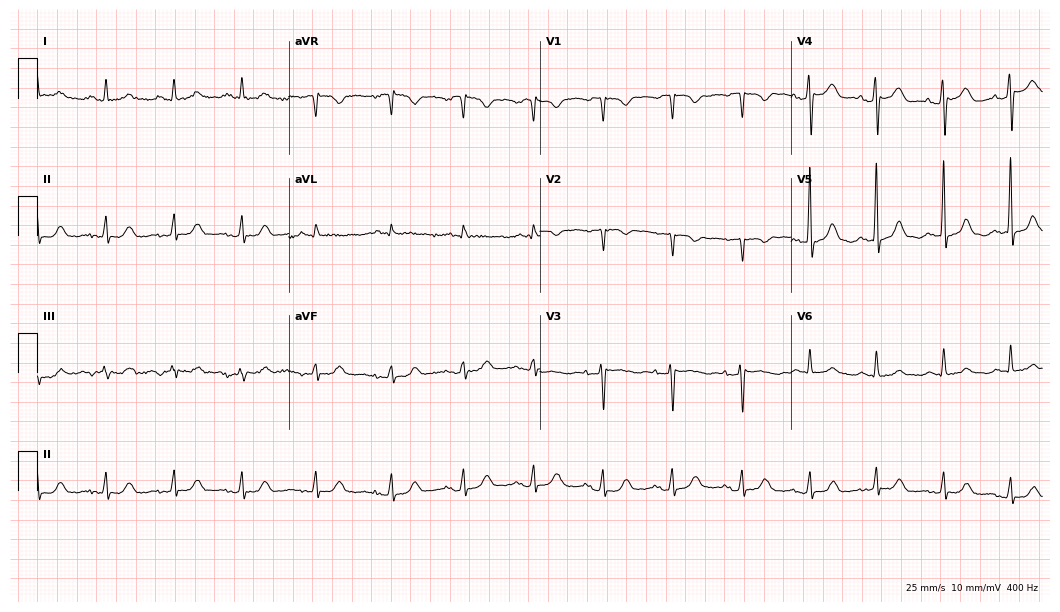
Electrocardiogram (10.2-second recording at 400 Hz), a female patient, 79 years old. Of the six screened findings (first-degree AV block, right bundle branch block (RBBB), left bundle branch block (LBBB), sinus bradycardia, atrial fibrillation (AF), sinus tachycardia), none is recorded.